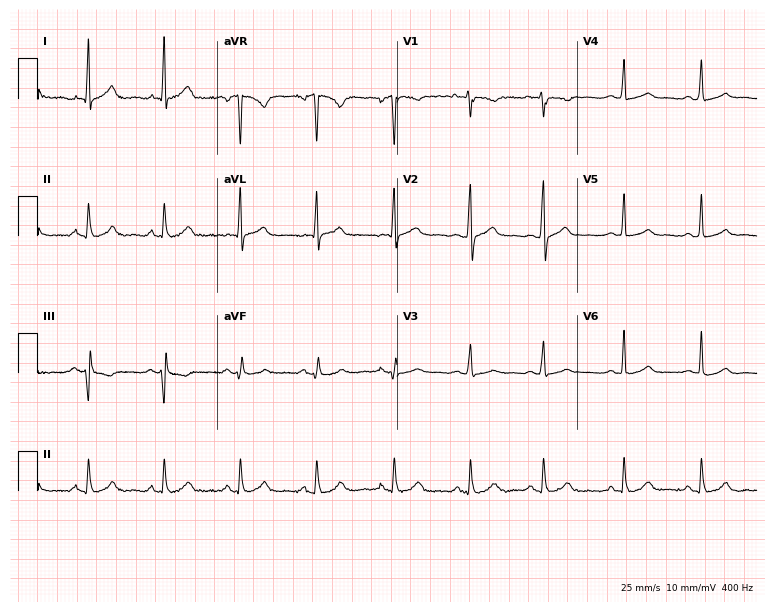
Standard 12-lead ECG recorded from a 33-year-old female (7.3-second recording at 400 Hz). Read as a normal ECG.